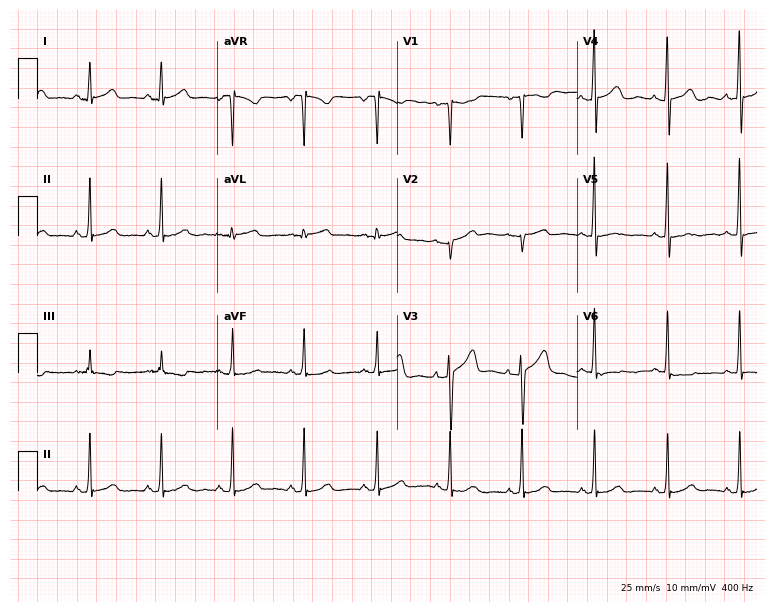
Standard 12-lead ECG recorded from a 38-year-old woman (7.3-second recording at 400 Hz). None of these six findings is recorded: first-degree AV block, right bundle branch block (RBBB), left bundle branch block (LBBB), sinus bradycardia, atrial fibrillation (AF), sinus tachycardia.